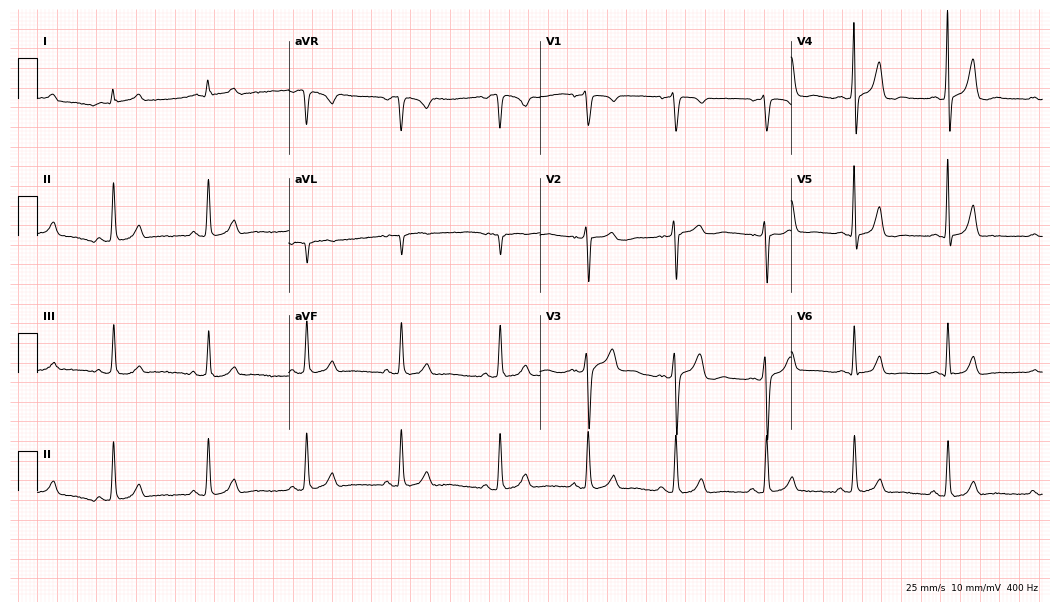
Electrocardiogram (10.2-second recording at 400 Hz), a male patient, 26 years old. Overall reading on record: normal ECG.